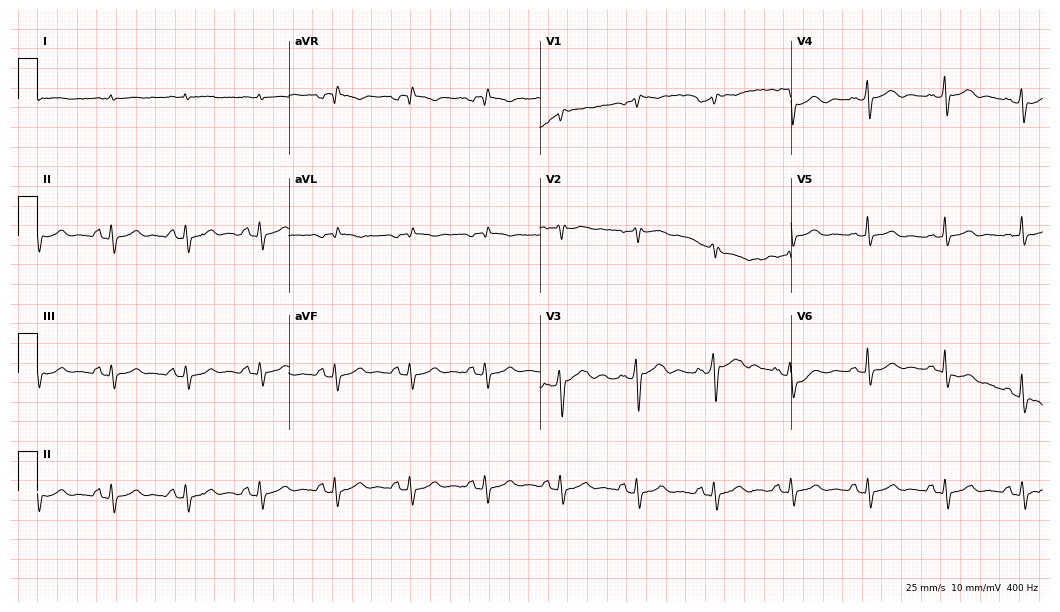
12-lead ECG from a 76-year-old male. No first-degree AV block, right bundle branch block, left bundle branch block, sinus bradycardia, atrial fibrillation or sinus tachycardia recorded for this tracing. Findings outside these six are not listed.